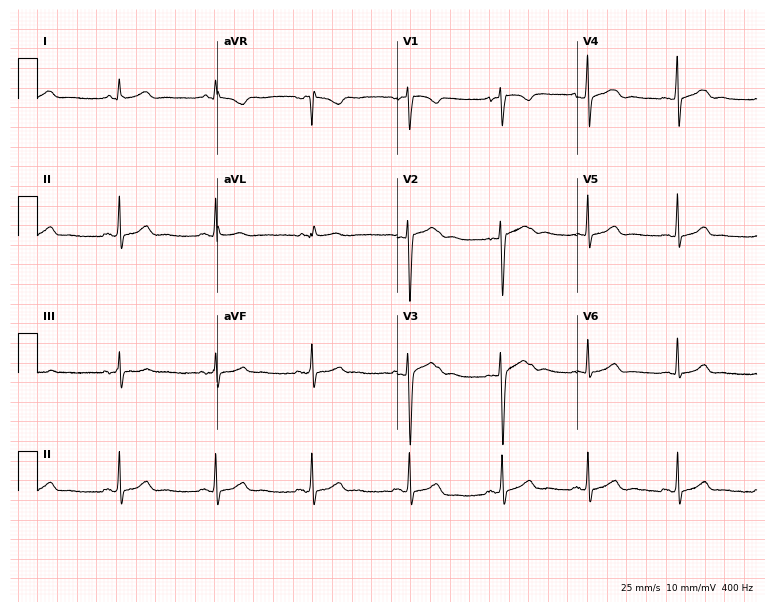
Standard 12-lead ECG recorded from a female, 22 years old (7.3-second recording at 400 Hz). Read as a normal ECG.